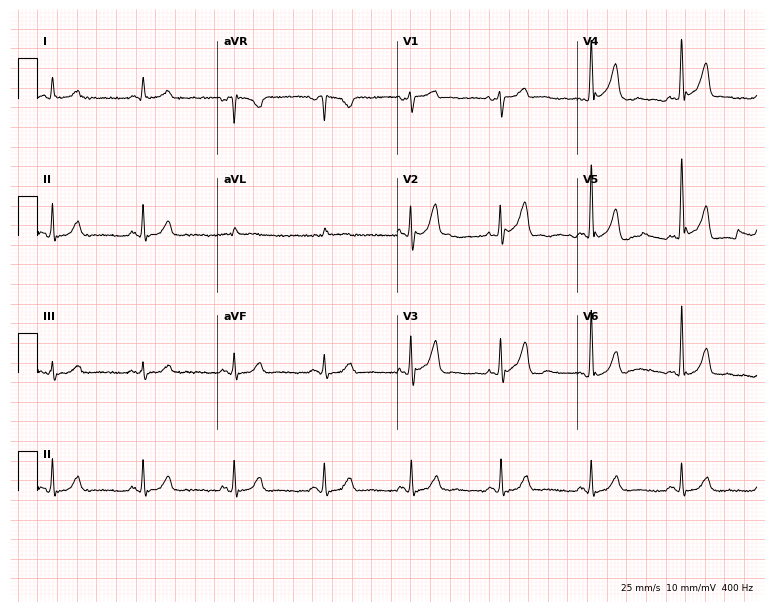
Electrocardiogram (7.3-second recording at 400 Hz), a male patient, 69 years old. Overall reading on record: normal ECG.